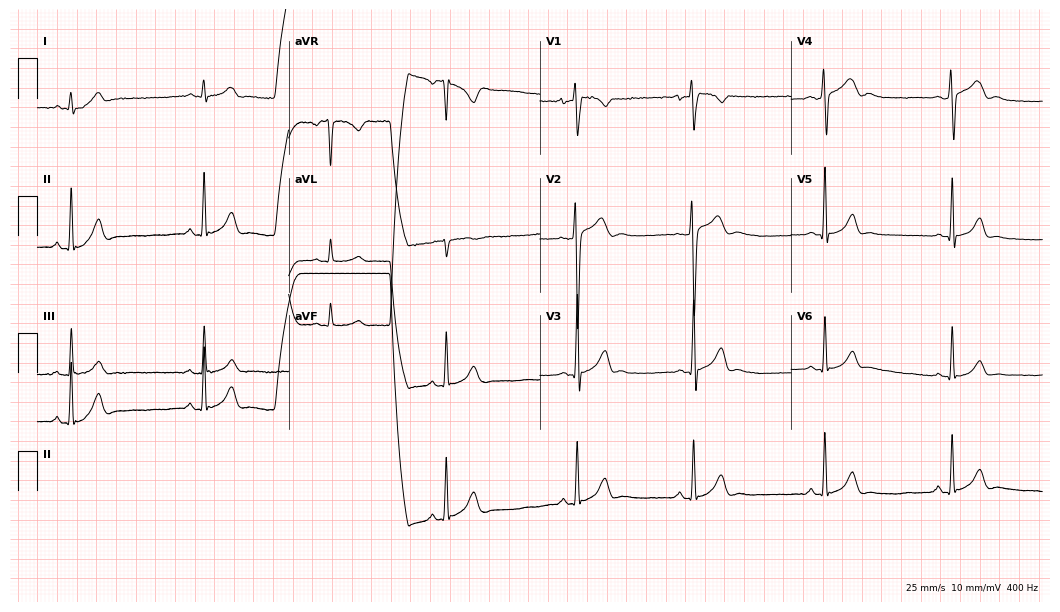
12-lead ECG from a 17-year-old male patient (10.2-second recording at 400 Hz). No first-degree AV block, right bundle branch block, left bundle branch block, sinus bradycardia, atrial fibrillation or sinus tachycardia recorded for this tracing. Only these six findings were labelled.